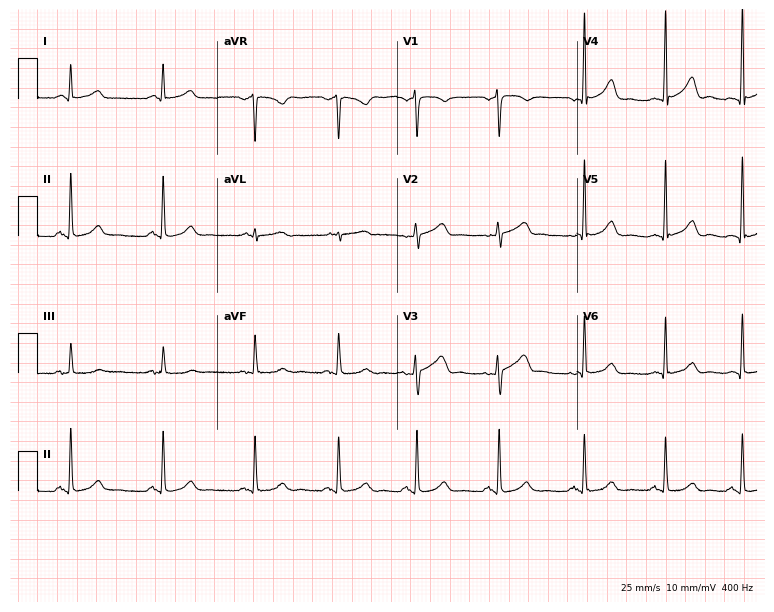
ECG — a female, 50 years old. Labelled as a normal ECG.